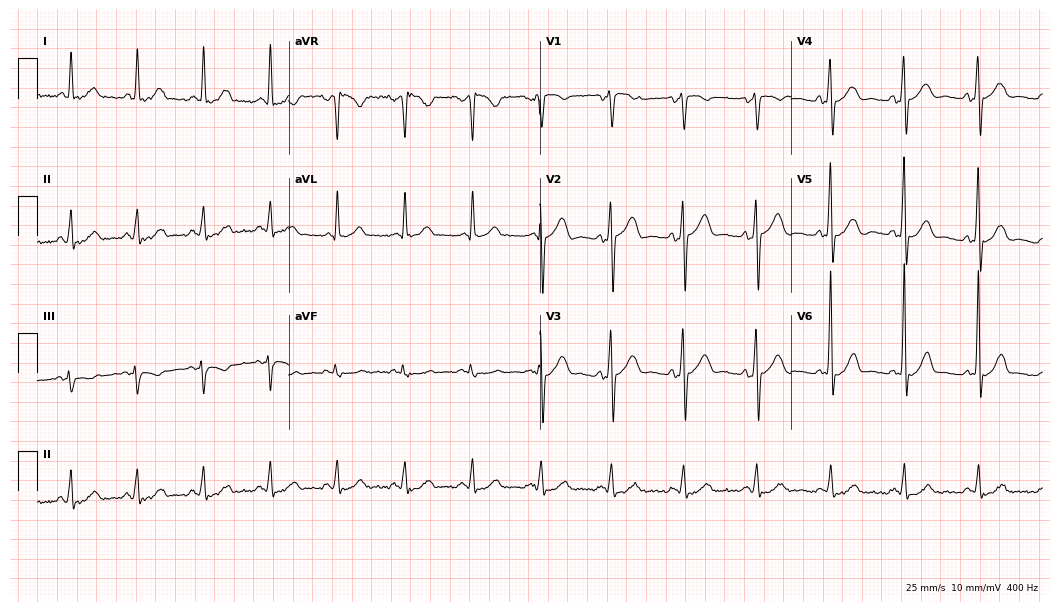
12-lead ECG (10.2-second recording at 400 Hz) from a male, 37 years old. Screened for six findings — first-degree AV block, right bundle branch block, left bundle branch block, sinus bradycardia, atrial fibrillation, sinus tachycardia — none is recorded. Only these six findings were labelled.